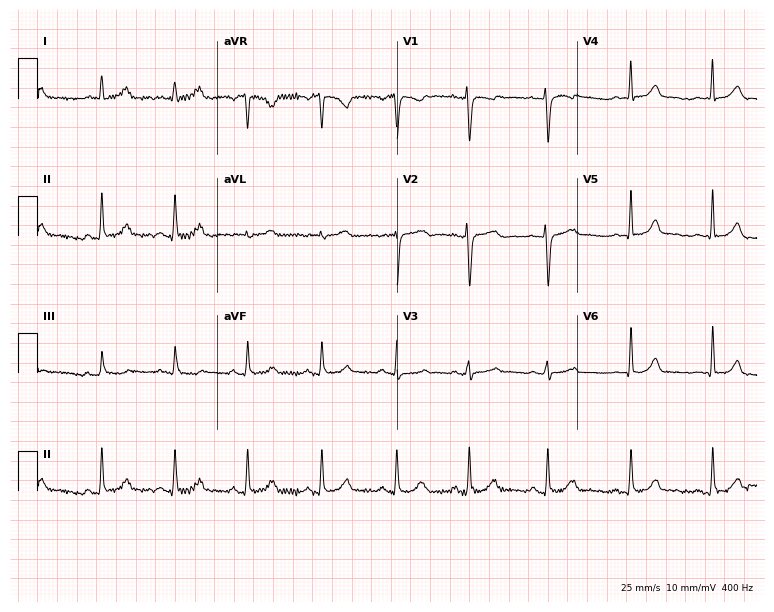
ECG (7.3-second recording at 400 Hz) — a 26-year-old woman. Labelled as a normal ECG.